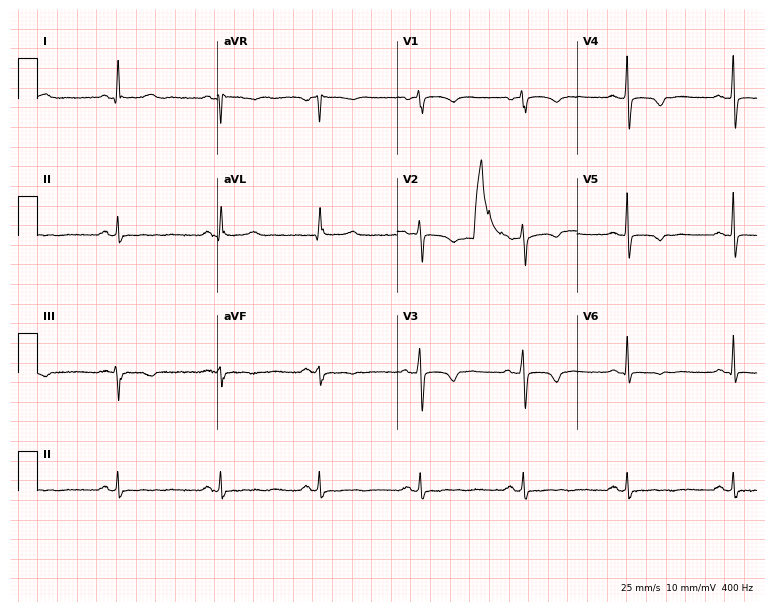
Resting 12-lead electrocardiogram. Patient: a female, 55 years old. None of these six findings is recorded: first-degree AV block, right bundle branch block, left bundle branch block, sinus bradycardia, atrial fibrillation, sinus tachycardia.